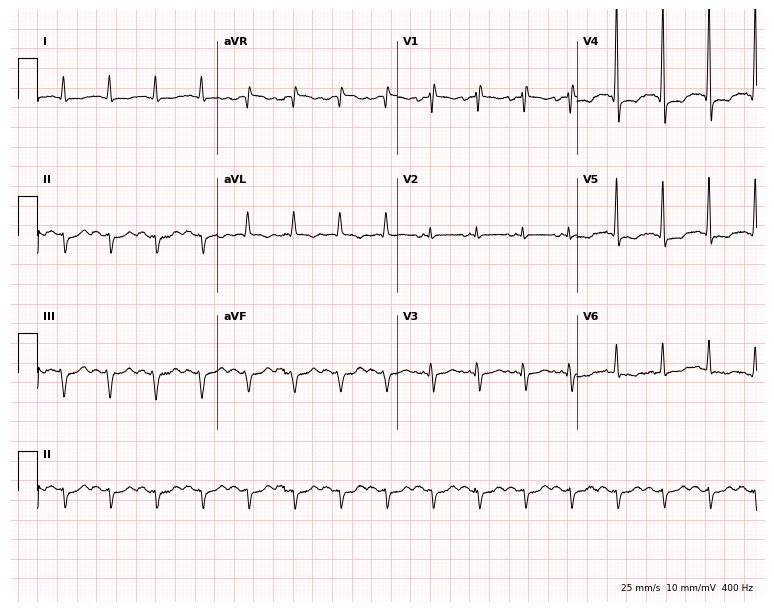
12-lead ECG (7.3-second recording at 400 Hz) from an 82-year-old male patient. Screened for six findings — first-degree AV block, right bundle branch block (RBBB), left bundle branch block (LBBB), sinus bradycardia, atrial fibrillation (AF), sinus tachycardia — none is recorded. Findings outside these six are not listed.